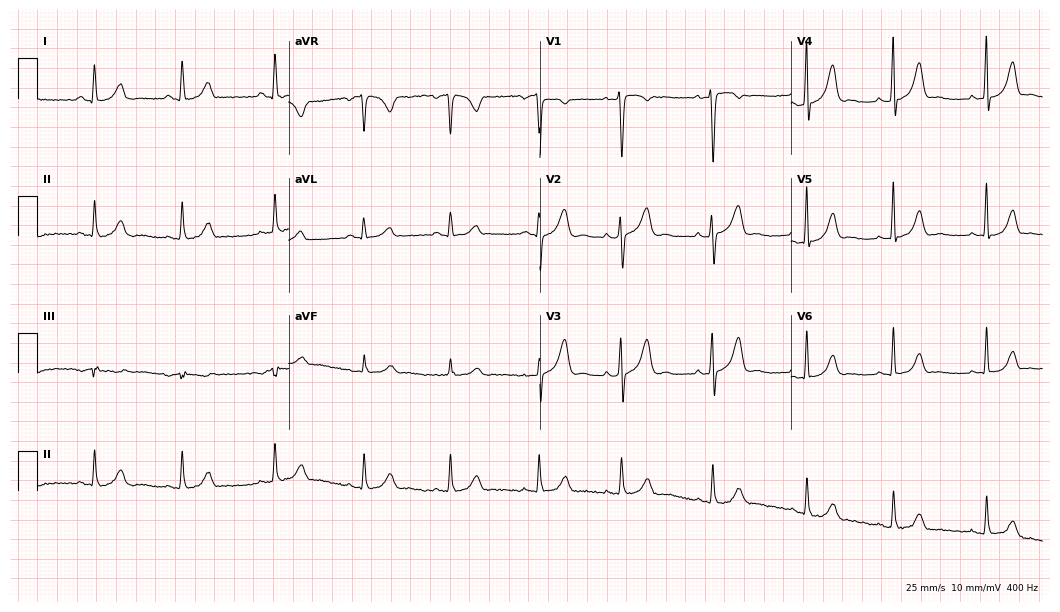
12-lead ECG from a female patient, 33 years old. Labelled as a normal ECG.